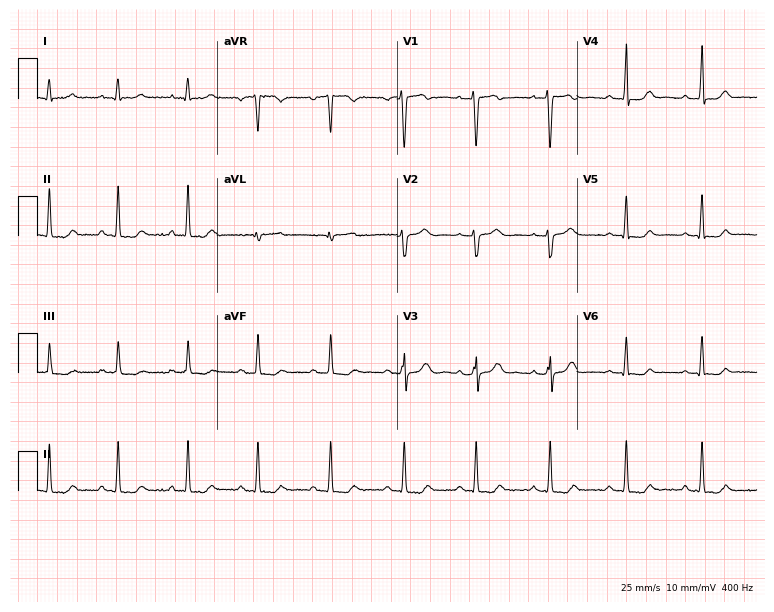
12-lead ECG from a woman, 26 years old. No first-degree AV block, right bundle branch block, left bundle branch block, sinus bradycardia, atrial fibrillation or sinus tachycardia recorded for this tracing.